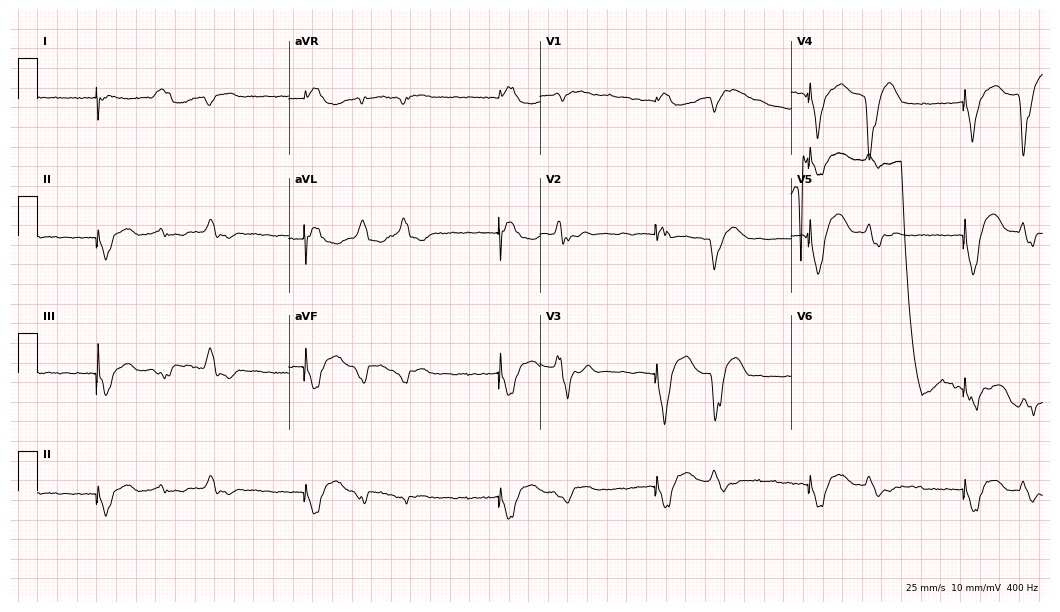
ECG (10.2-second recording at 400 Hz) — a 67-year-old male patient. Screened for six findings — first-degree AV block, right bundle branch block, left bundle branch block, sinus bradycardia, atrial fibrillation, sinus tachycardia — none is recorded.